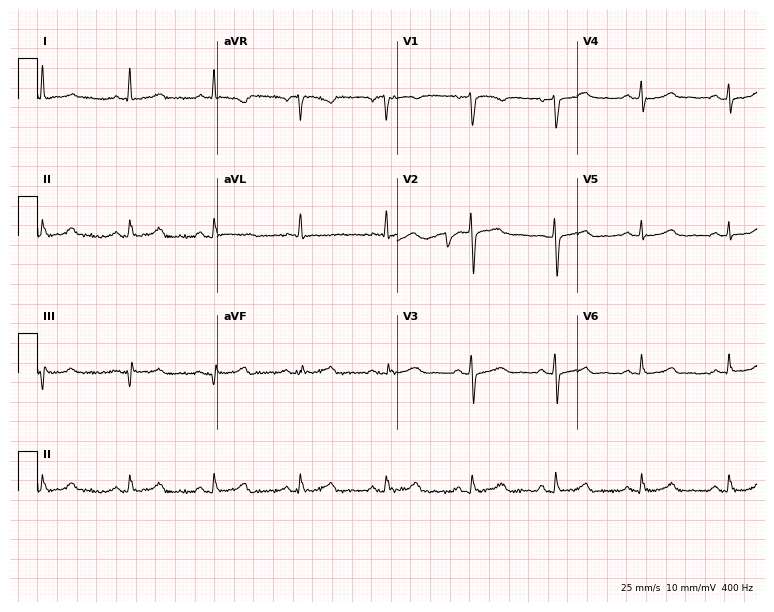
12-lead ECG from a 63-year-old female patient. Recorded interpretation: within normal limits.